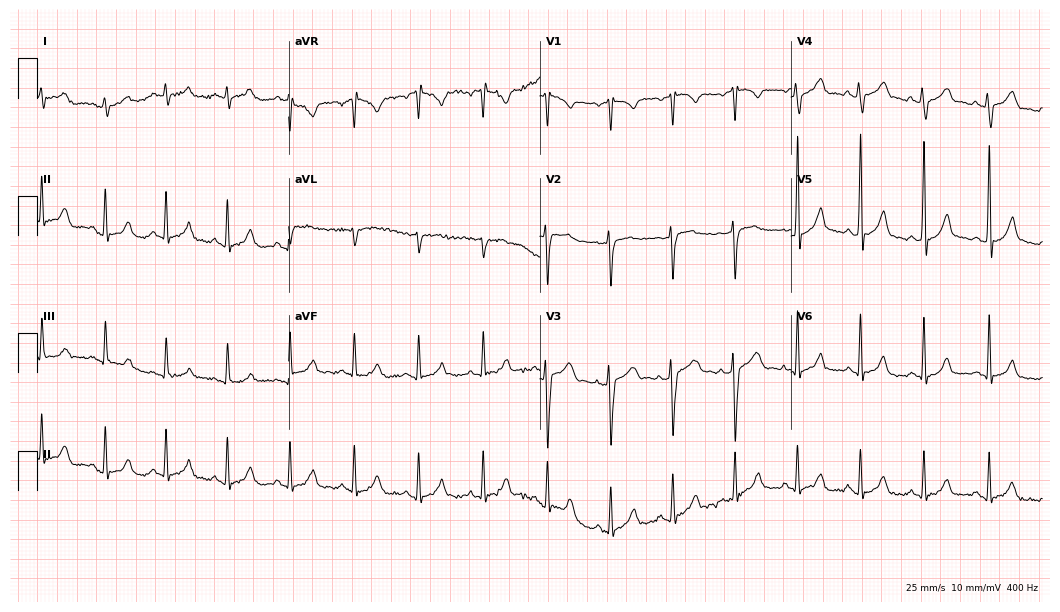
Electrocardiogram, a 24-year-old man. Overall reading on record: normal ECG.